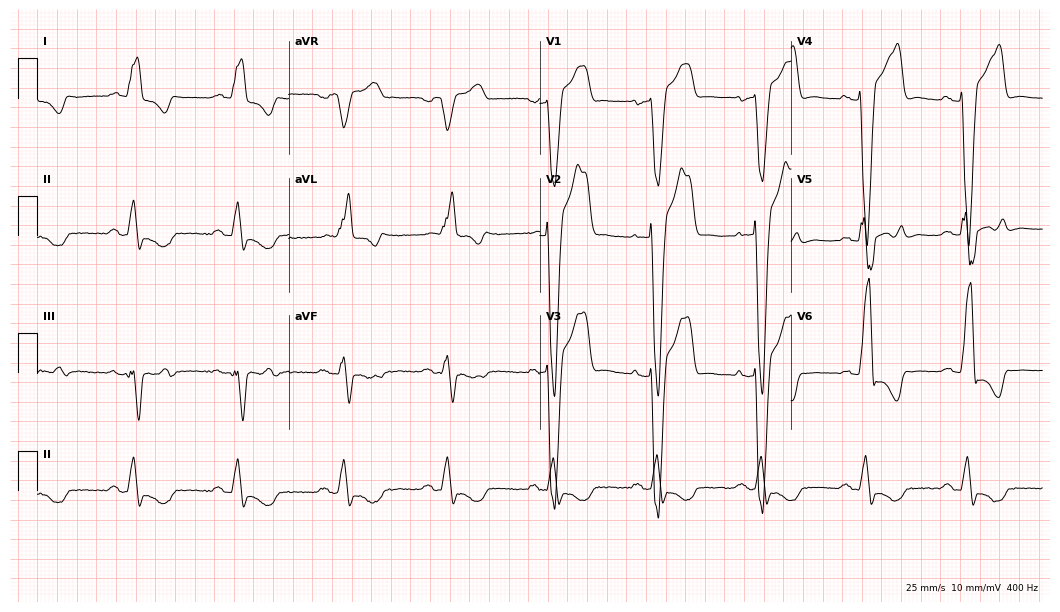
12-lead ECG from a 64-year-old man. Screened for six findings — first-degree AV block, right bundle branch block (RBBB), left bundle branch block (LBBB), sinus bradycardia, atrial fibrillation (AF), sinus tachycardia — none is recorded.